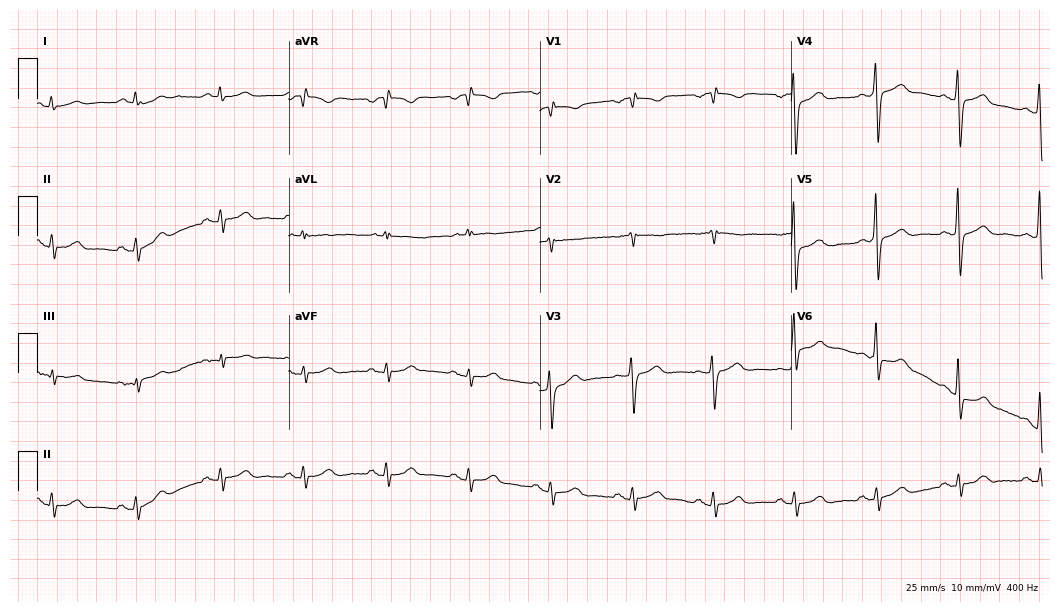
ECG (10.2-second recording at 400 Hz) — an 80-year-old male. Screened for six findings — first-degree AV block, right bundle branch block (RBBB), left bundle branch block (LBBB), sinus bradycardia, atrial fibrillation (AF), sinus tachycardia — none is recorded. Findings outside these six are not listed.